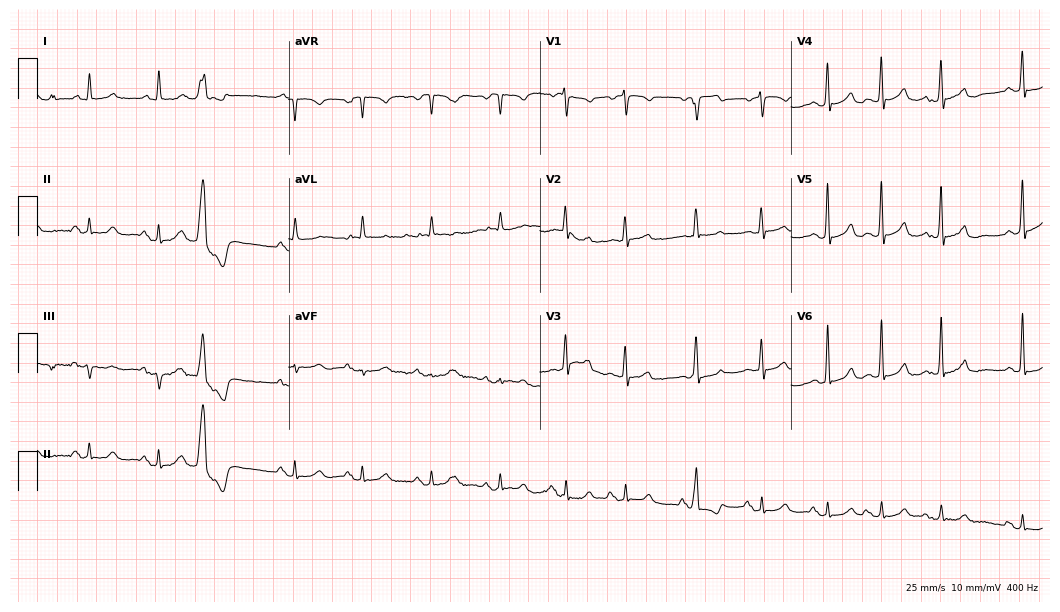
Standard 12-lead ECG recorded from a 72-year-old man (10.2-second recording at 400 Hz). None of these six findings is recorded: first-degree AV block, right bundle branch block (RBBB), left bundle branch block (LBBB), sinus bradycardia, atrial fibrillation (AF), sinus tachycardia.